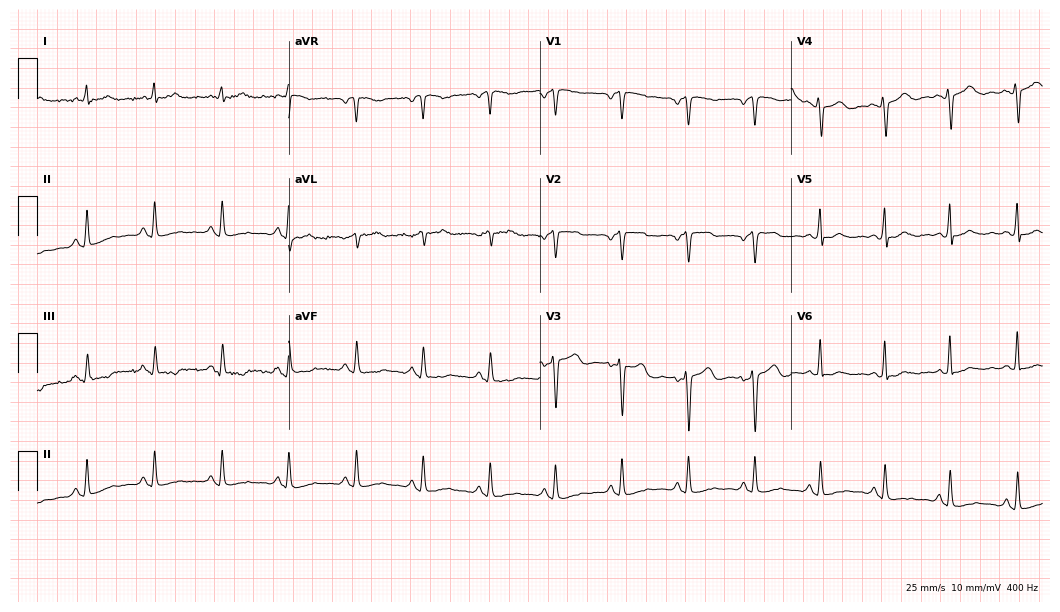
Standard 12-lead ECG recorded from a 50-year-old female patient (10.2-second recording at 400 Hz). None of these six findings is recorded: first-degree AV block, right bundle branch block (RBBB), left bundle branch block (LBBB), sinus bradycardia, atrial fibrillation (AF), sinus tachycardia.